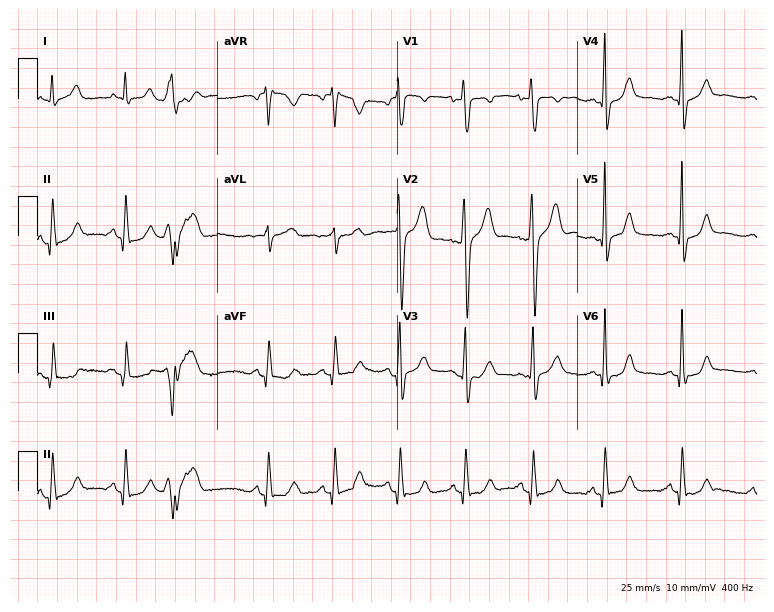
ECG — a 48-year-old man. Screened for six findings — first-degree AV block, right bundle branch block, left bundle branch block, sinus bradycardia, atrial fibrillation, sinus tachycardia — none is recorded.